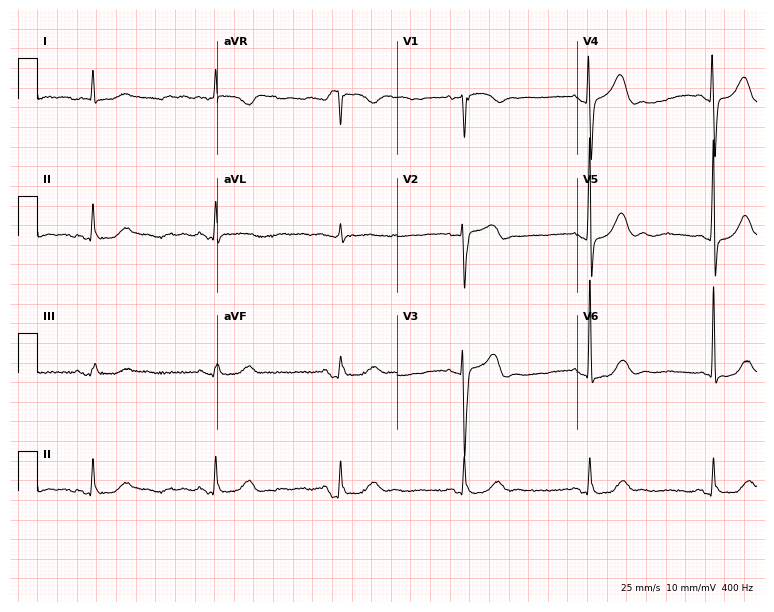
12-lead ECG (7.3-second recording at 400 Hz) from a male patient, 77 years old. Findings include sinus bradycardia (a sinus rate of 50 beats per minute or less).